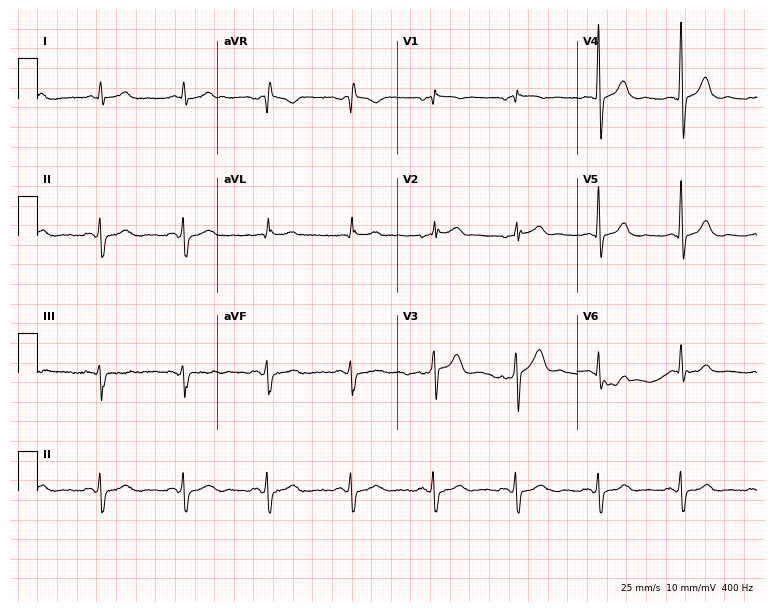
12-lead ECG from a woman, 59 years old. Screened for six findings — first-degree AV block, right bundle branch block, left bundle branch block, sinus bradycardia, atrial fibrillation, sinus tachycardia — none is recorded.